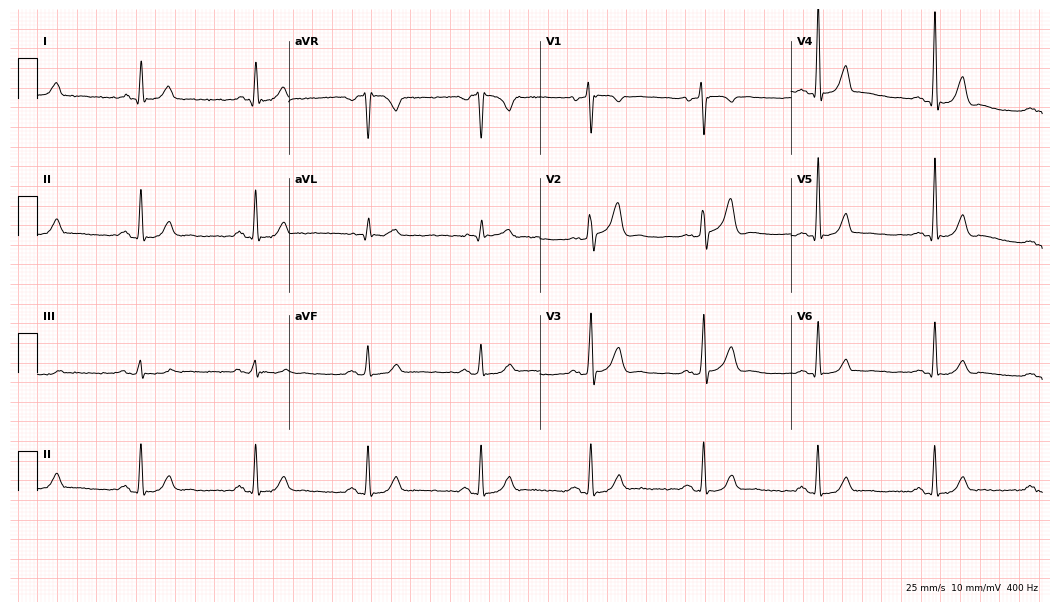
Standard 12-lead ECG recorded from a 68-year-old man. None of these six findings is recorded: first-degree AV block, right bundle branch block, left bundle branch block, sinus bradycardia, atrial fibrillation, sinus tachycardia. Other findings, if any, are not listed.